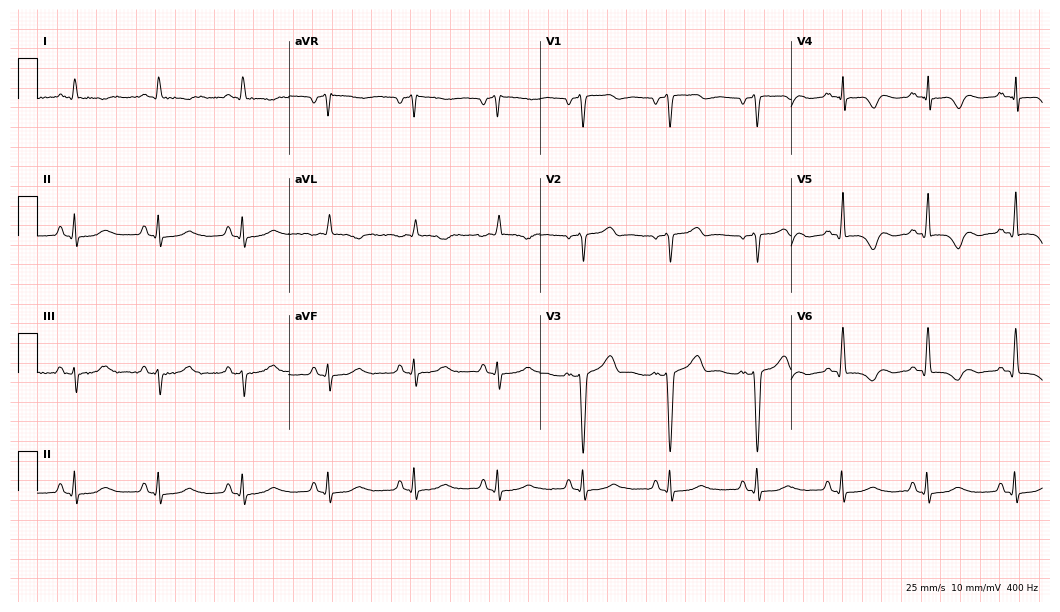
Electrocardiogram (10.2-second recording at 400 Hz), a 57-year-old man. Of the six screened findings (first-degree AV block, right bundle branch block, left bundle branch block, sinus bradycardia, atrial fibrillation, sinus tachycardia), none is recorded.